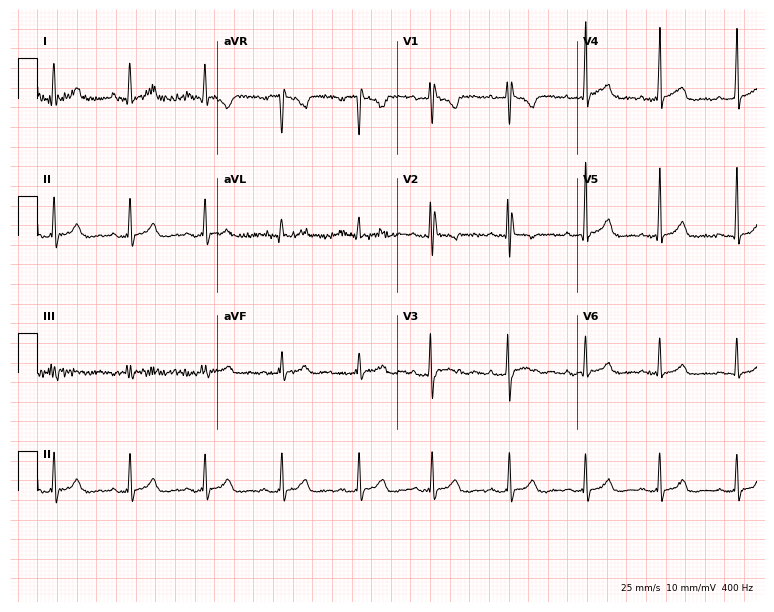
ECG (7.3-second recording at 400 Hz) — a female, 21 years old. Screened for six findings — first-degree AV block, right bundle branch block (RBBB), left bundle branch block (LBBB), sinus bradycardia, atrial fibrillation (AF), sinus tachycardia — none is recorded.